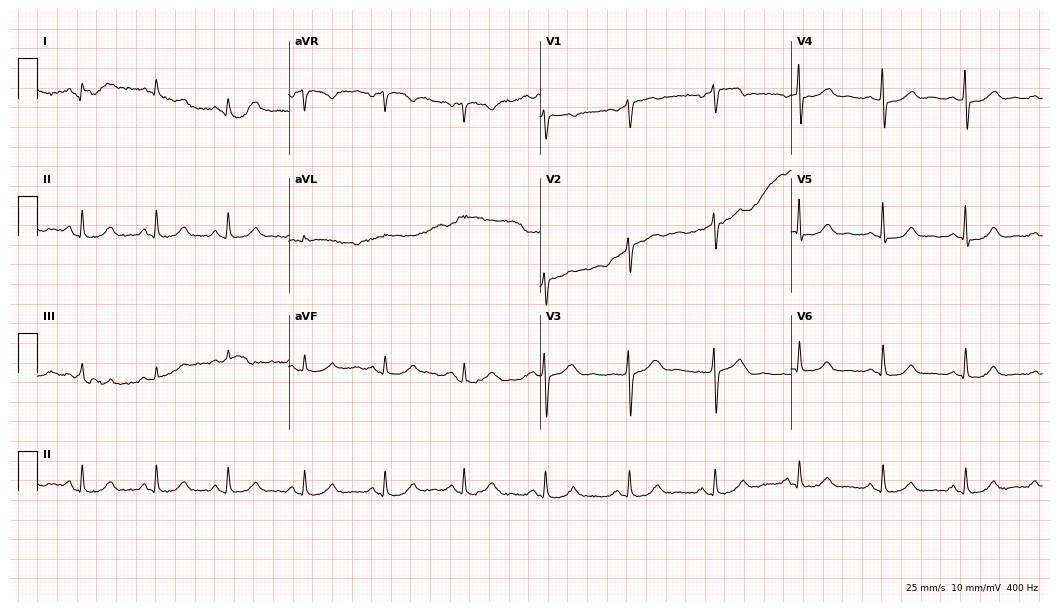
Resting 12-lead electrocardiogram. Patient: a 62-year-old female. Read as a normal ECG.